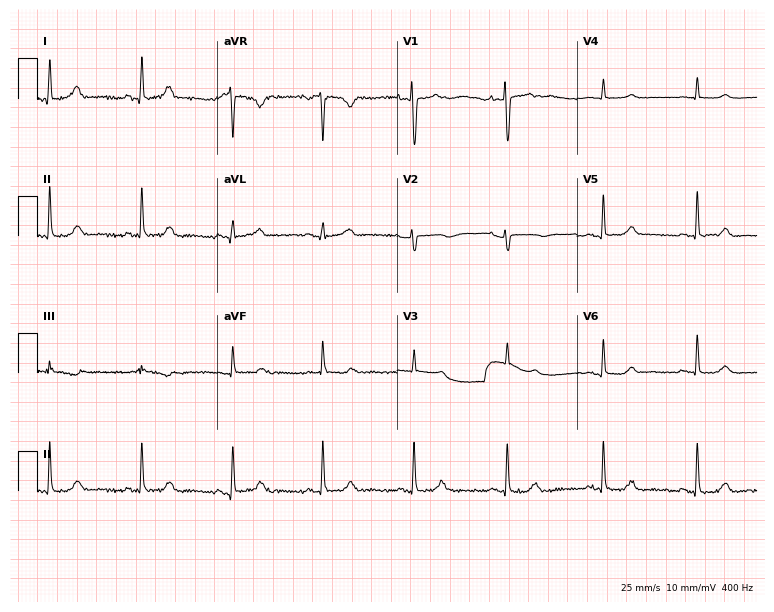
Resting 12-lead electrocardiogram (7.3-second recording at 400 Hz). Patient: a 52-year-old woman. Read as a normal ECG.